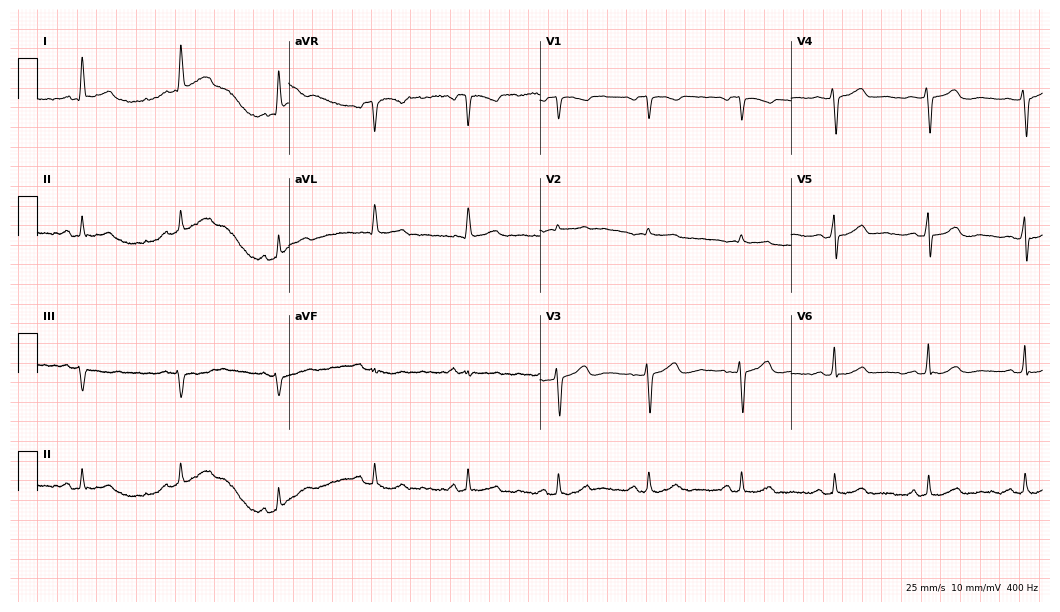
Standard 12-lead ECG recorded from a 66-year-old female patient (10.2-second recording at 400 Hz). Read as a normal ECG.